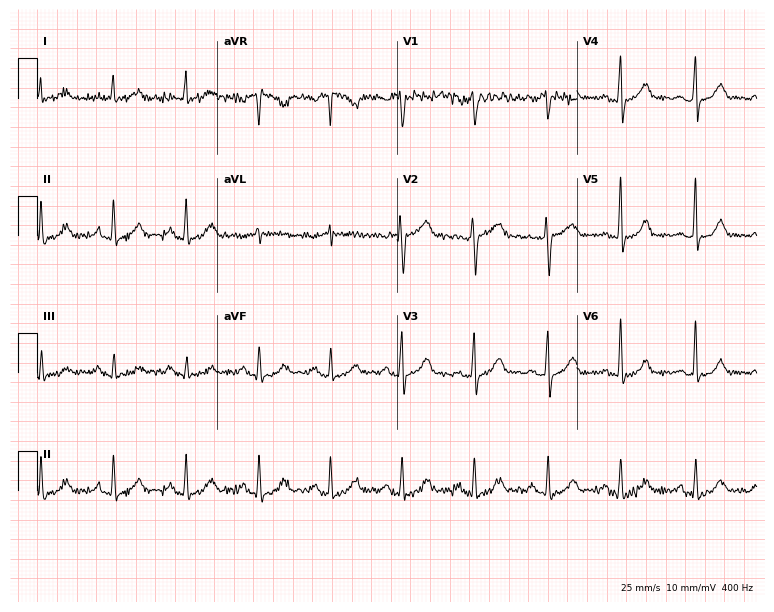
12-lead ECG from a female patient, 50 years old. Screened for six findings — first-degree AV block, right bundle branch block, left bundle branch block, sinus bradycardia, atrial fibrillation, sinus tachycardia — none is recorded. Only these six findings were labelled.